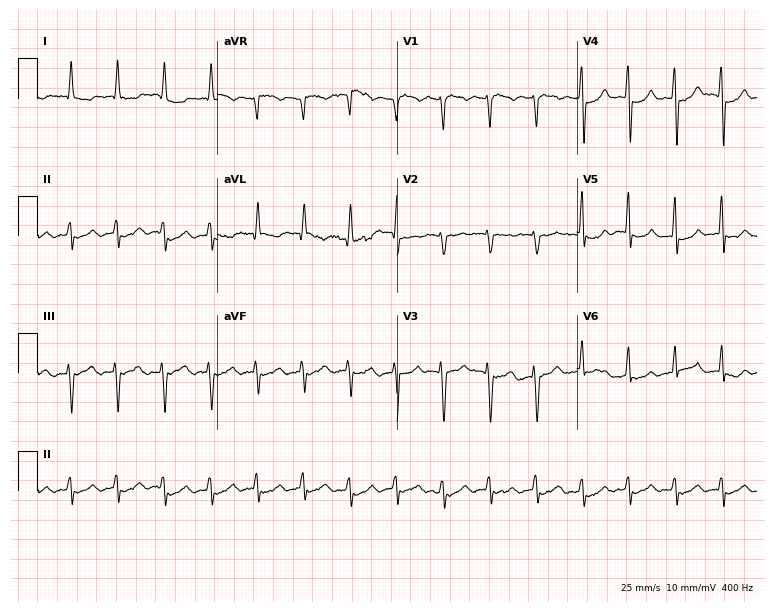
Resting 12-lead electrocardiogram (7.3-second recording at 400 Hz). Patient: an 83-year-old female. None of these six findings is recorded: first-degree AV block, right bundle branch block (RBBB), left bundle branch block (LBBB), sinus bradycardia, atrial fibrillation (AF), sinus tachycardia. Findings outside these six are not listed.